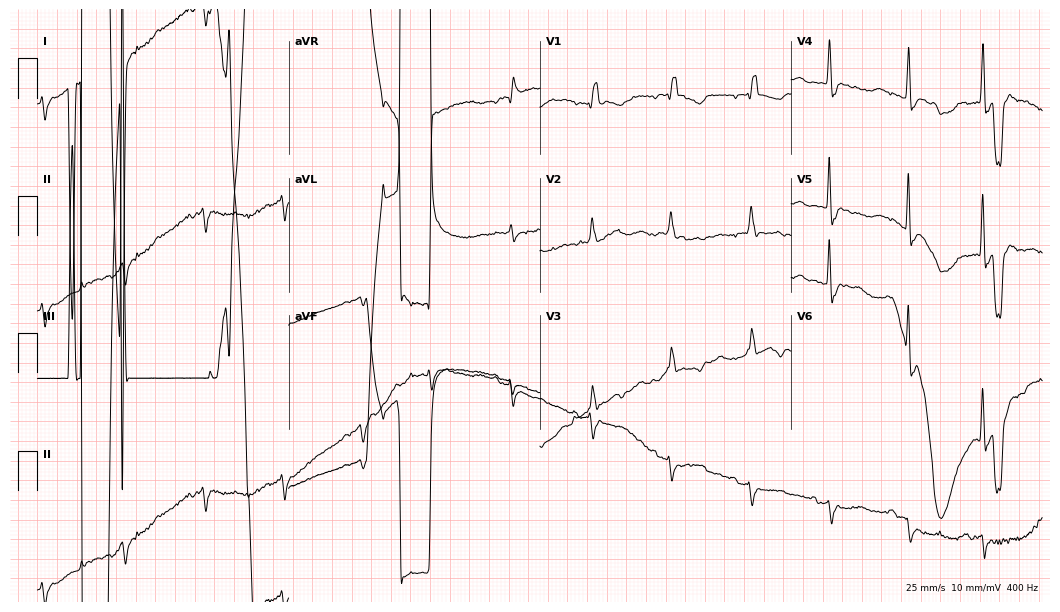
12-lead ECG from an 82-year-old female patient. Screened for six findings — first-degree AV block, right bundle branch block, left bundle branch block, sinus bradycardia, atrial fibrillation, sinus tachycardia — none is recorded. Other findings, if any, are not listed.